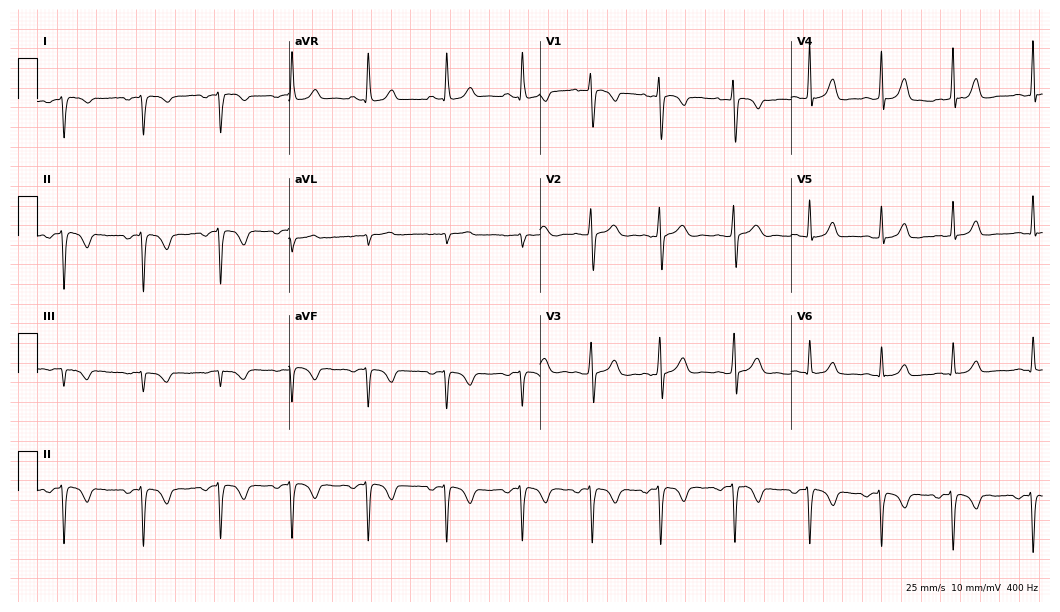
Resting 12-lead electrocardiogram. Patient: a female, 20 years old. None of these six findings is recorded: first-degree AV block, right bundle branch block, left bundle branch block, sinus bradycardia, atrial fibrillation, sinus tachycardia.